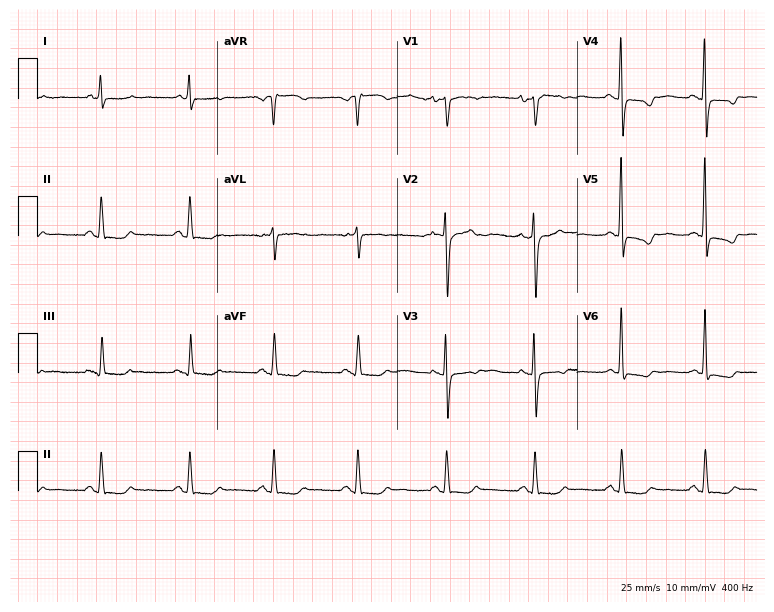
12-lead ECG from a woman, 69 years old. No first-degree AV block, right bundle branch block (RBBB), left bundle branch block (LBBB), sinus bradycardia, atrial fibrillation (AF) or sinus tachycardia recorded for this tracing.